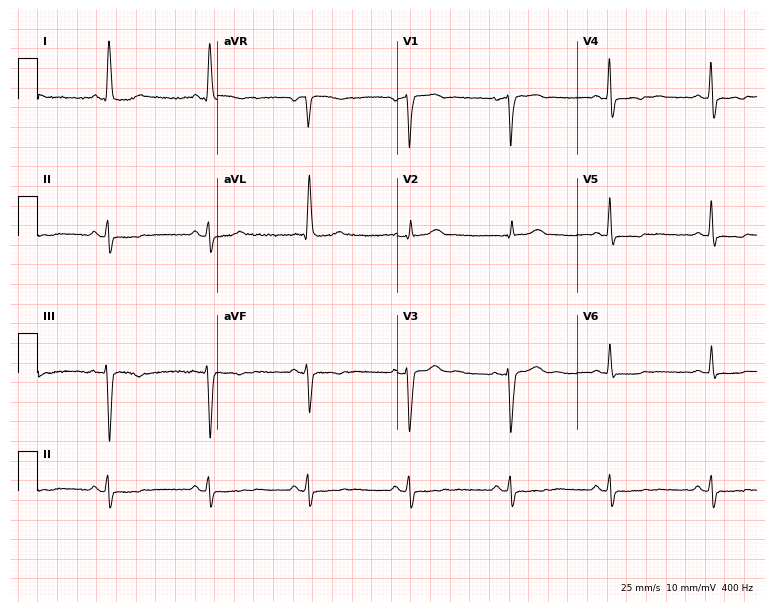
ECG (7.3-second recording at 400 Hz) — a 57-year-old woman. Screened for six findings — first-degree AV block, right bundle branch block, left bundle branch block, sinus bradycardia, atrial fibrillation, sinus tachycardia — none is recorded. Other findings, if any, are not listed.